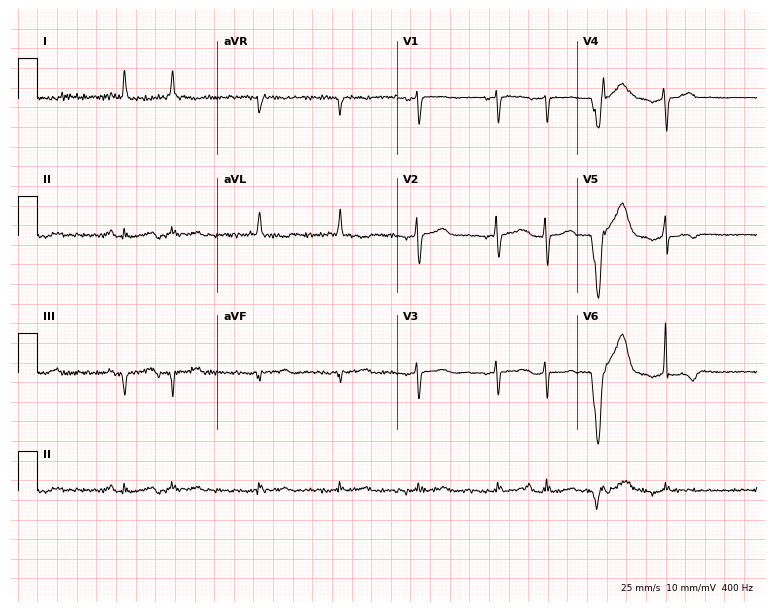
Standard 12-lead ECG recorded from a female, 83 years old. None of these six findings is recorded: first-degree AV block, right bundle branch block (RBBB), left bundle branch block (LBBB), sinus bradycardia, atrial fibrillation (AF), sinus tachycardia.